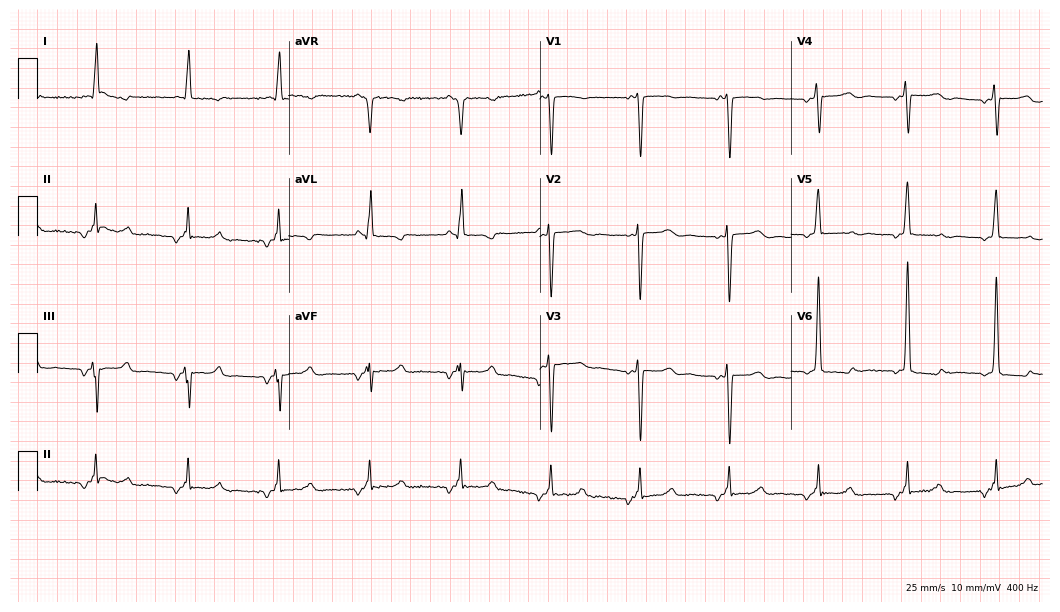
Resting 12-lead electrocardiogram (10.2-second recording at 400 Hz). Patient: a 45-year-old woman. None of these six findings is recorded: first-degree AV block, right bundle branch block (RBBB), left bundle branch block (LBBB), sinus bradycardia, atrial fibrillation (AF), sinus tachycardia.